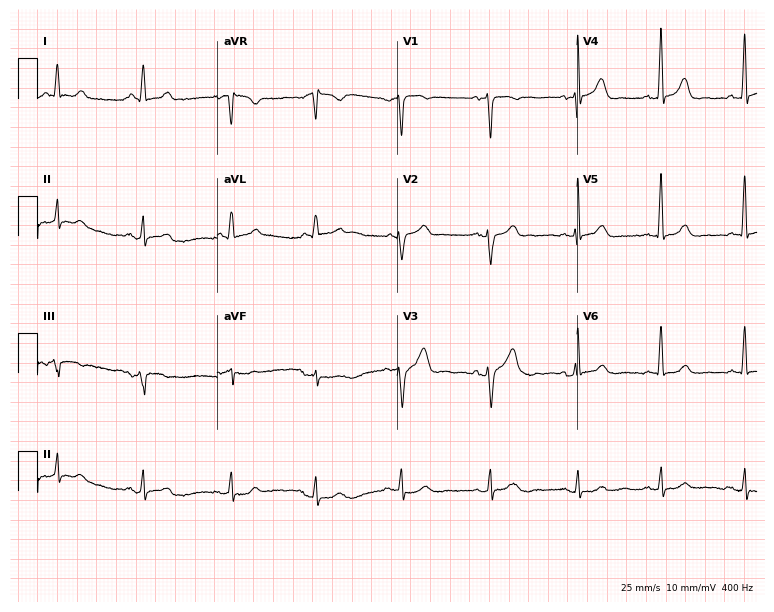
12-lead ECG from a 36-year-old female patient. Labelled as a normal ECG.